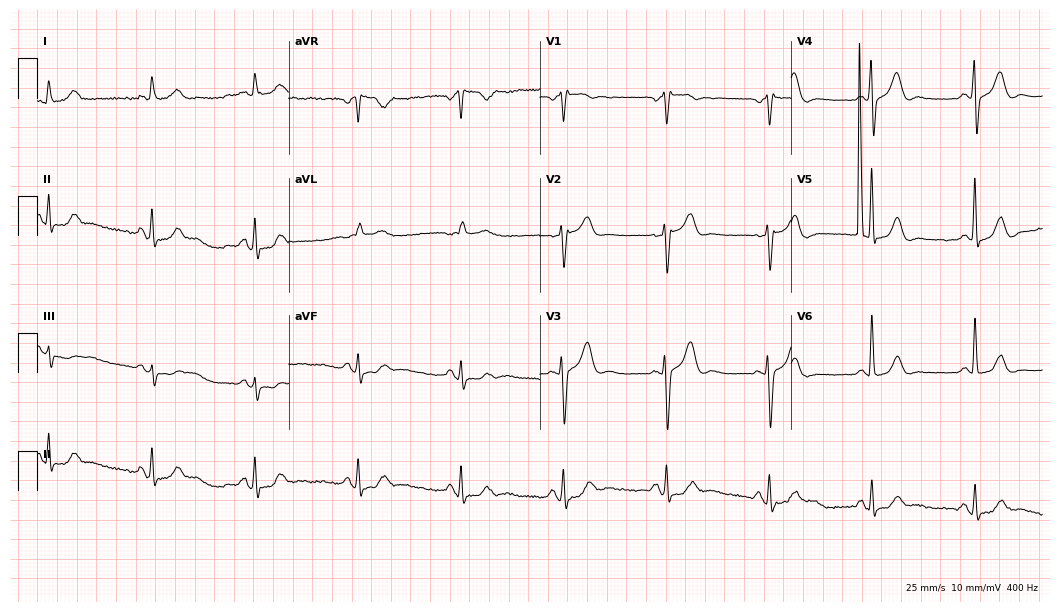
12-lead ECG from a 72-year-old man. No first-degree AV block, right bundle branch block, left bundle branch block, sinus bradycardia, atrial fibrillation or sinus tachycardia recorded for this tracing. Other findings, if any, are not listed.